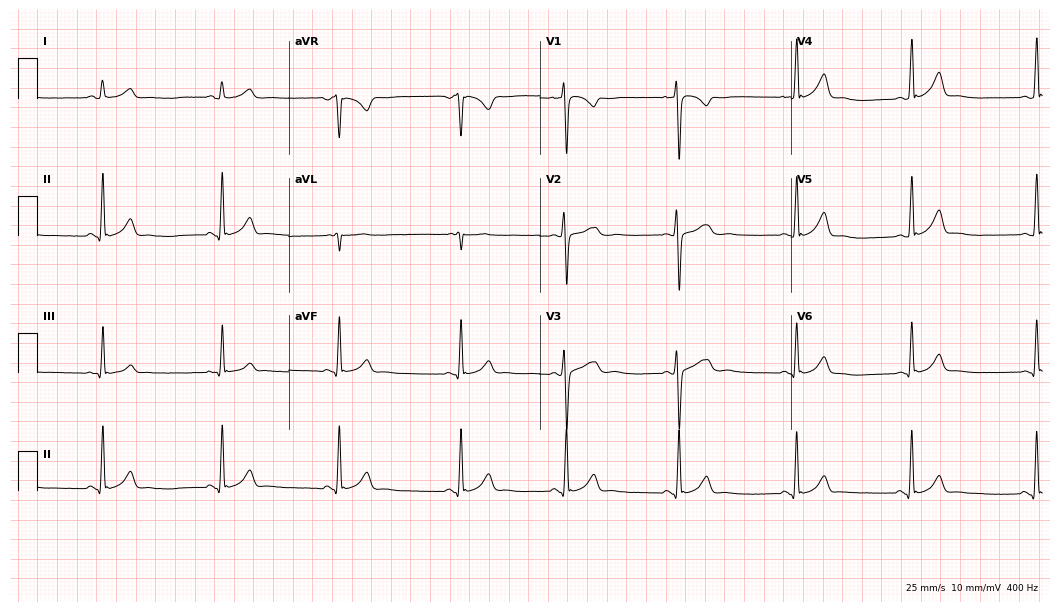
12-lead ECG (10.2-second recording at 400 Hz) from a 17-year-old woman. Labelled as a normal ECG.